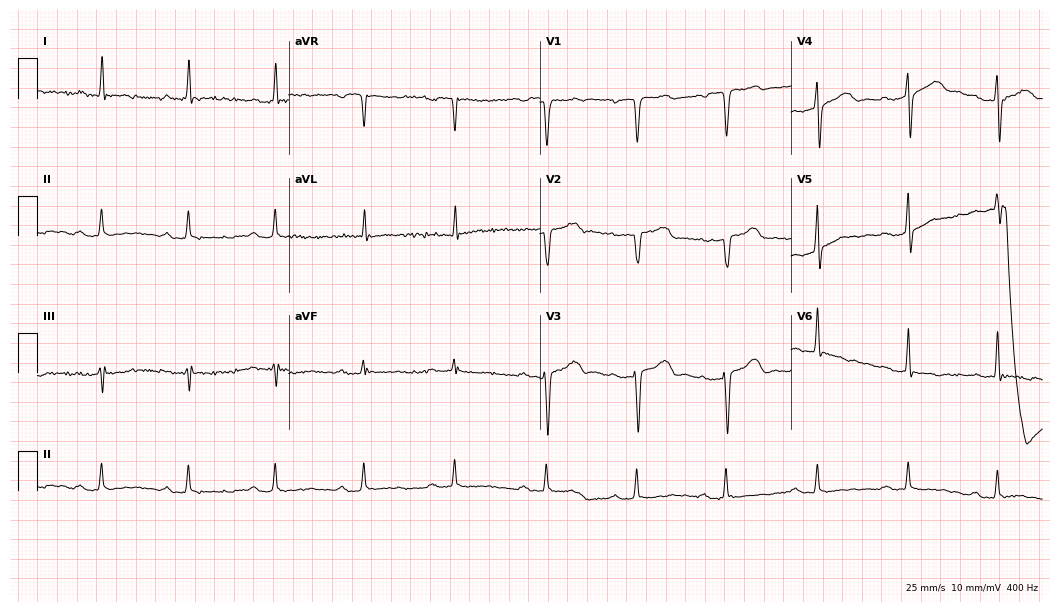
Resting 12-lead electrocardiogram. Patient: a 59-year-old man. The tracing shows first-degree AV block.